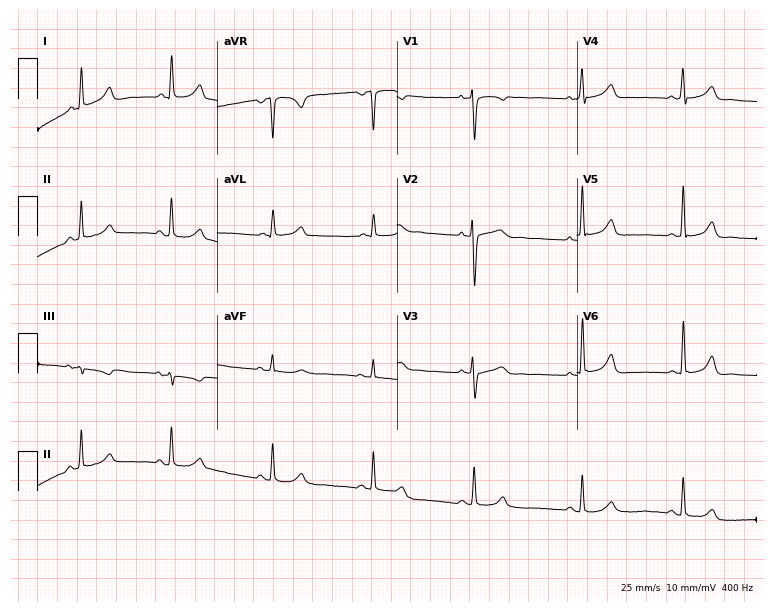
Standard 12-lead ECG recorded from a female patient, 45 years old. None of these six findings is recorded: first-degree AV block, right bundle branch block (RBBB), left bundle branch block (LBBB), sinus bradycardia, atrial fibrillation (AF), sinus tachycardia.